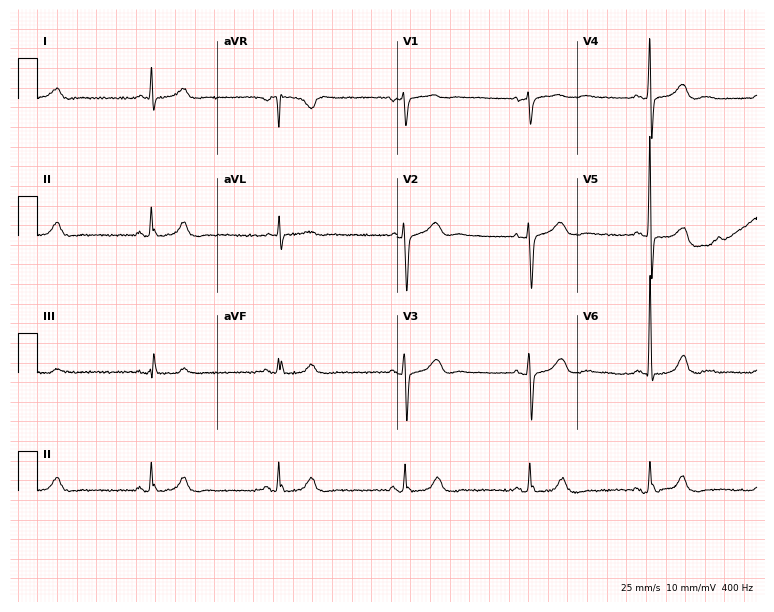
Standard 12-lead ECG recorded from a woman, 82 years old (7.3-second recording at 400 Hz). None of these six findings is recorded: first-degree AV block, right bundle branch block, left bundle branch block, sinus bradycardia, atrial fibrillation, sinus tachycardia.